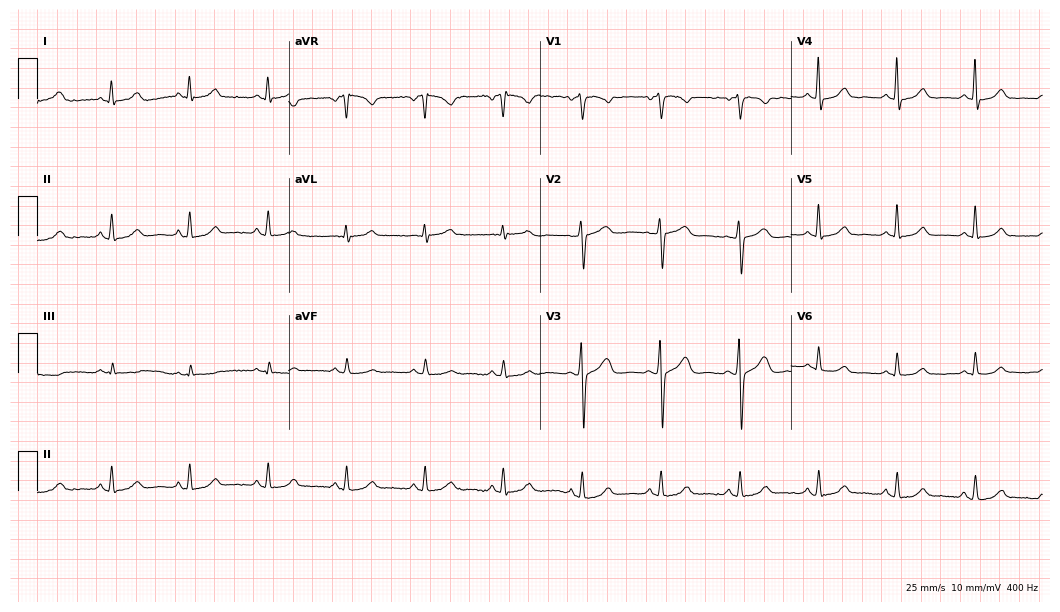
ECG (10.2-second recording at 400 Hz) — a woman, 45 years old. Labelled as a normal ECG.